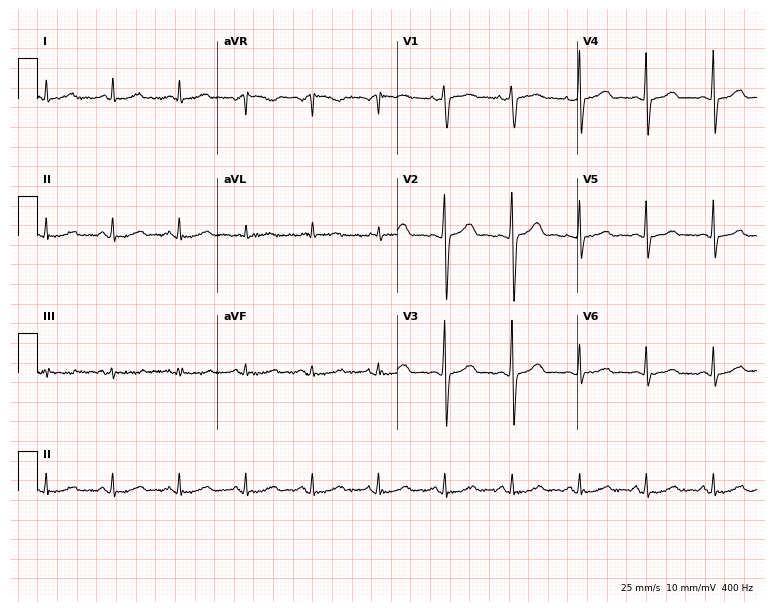
ECG — a 52-year-old woman. Labelled as a normal ECG.